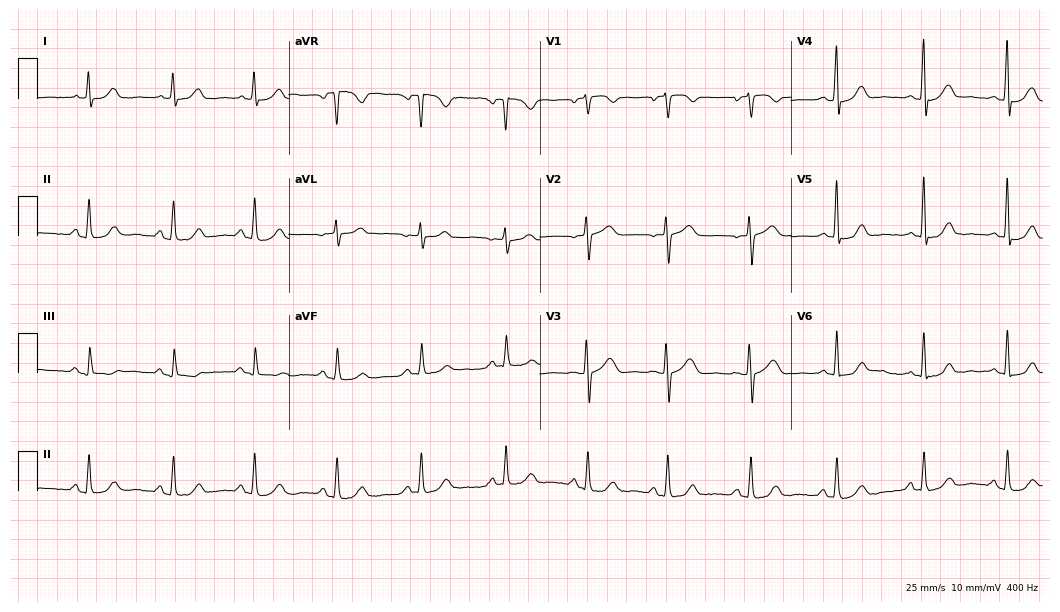
Standard 12-lead ECG recorded from a female, 56 years old. Read as a normal ECG.